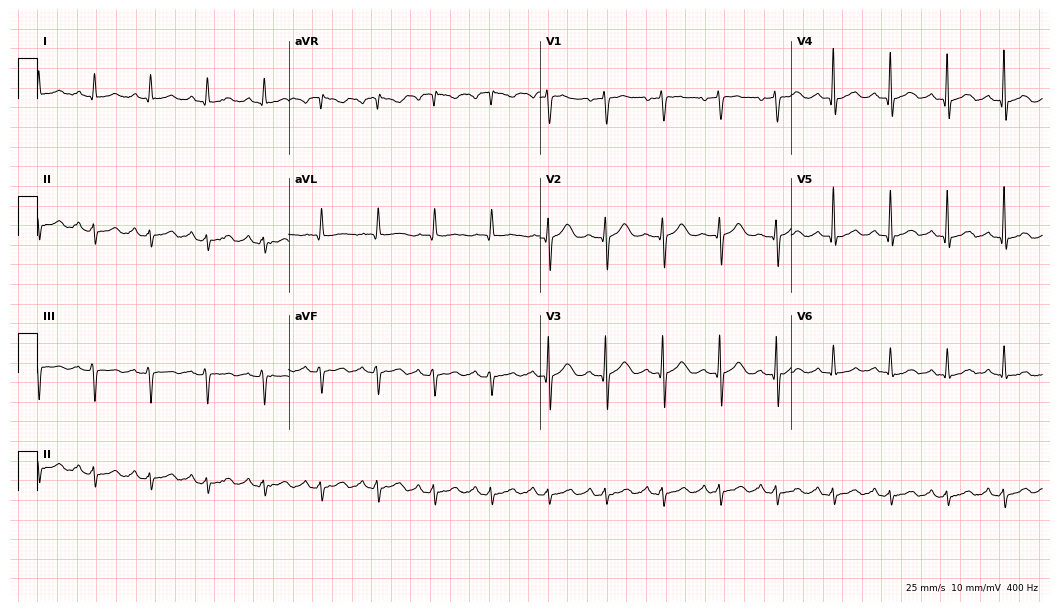
12-lead ECG from a male, 68 years old. Recorded interpretation: within normal limits.